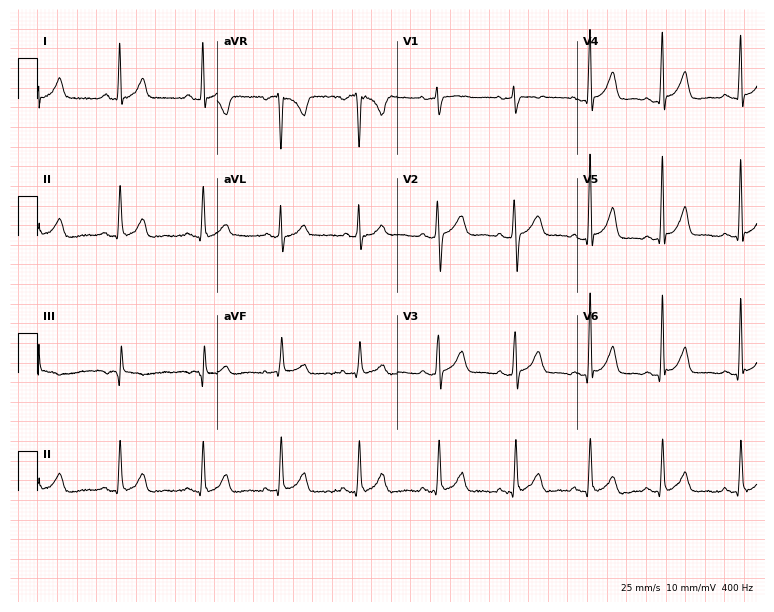
Electrocardiogram (7.3-second recording at 400 Hz), a woman, 31 years old. Of the six screened findings (first-degree AV block, right bundle branch block, left bundle branch block, sinus bradycardia, atrial fibrillation, sinus tachycardia), none is recorded. Other findings, if any, are not listed.